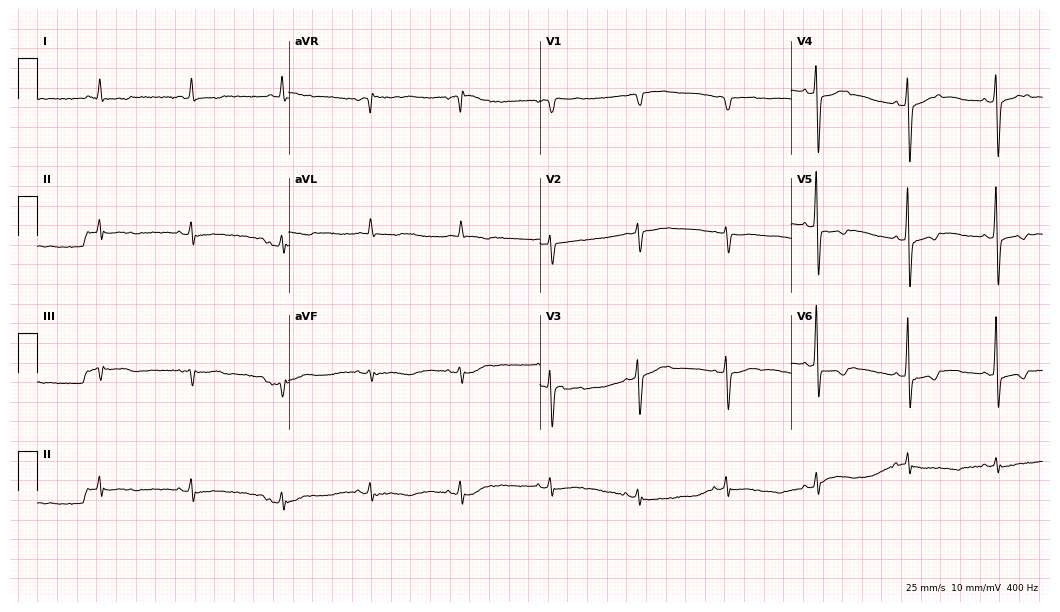
12-lead ECG from a man, 82 years old. Screened for six findings — first-degree AV block, right bundle branch block, left bundle branch block, sinus bradycardia, atrial fibrillation, sinus tachycardia — none is recorded.